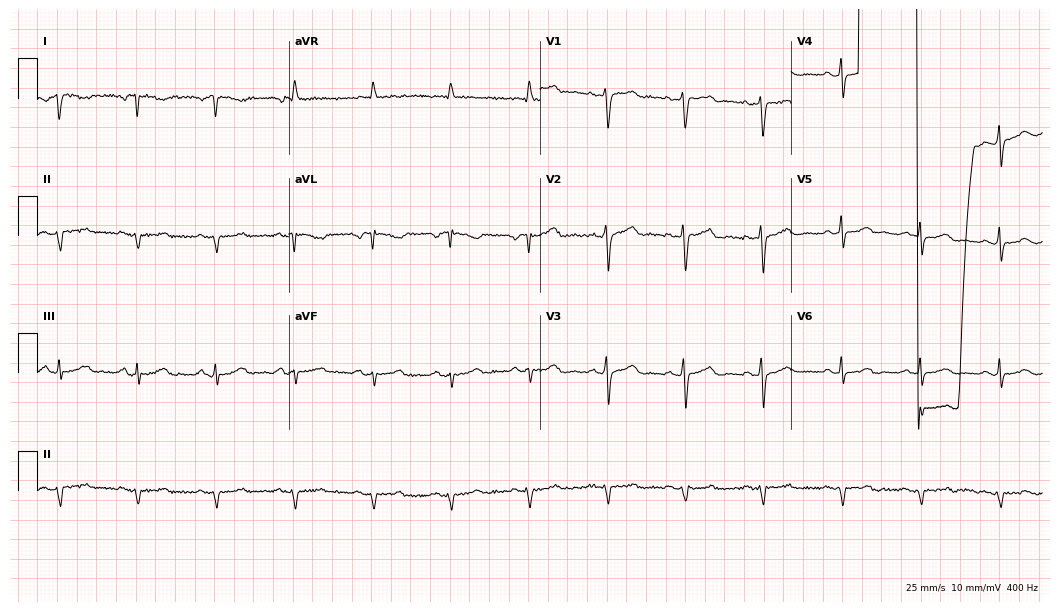
Resting 12-lead electrocardiogram. Patient: a woman, 62 years old. None of these six findings is recorded: first-degree AV block, right bundle branch block, left bundle branch block, sinus bradycardia, atrial fibrillation, sinus tachycardia. Only these six findings were labelled.